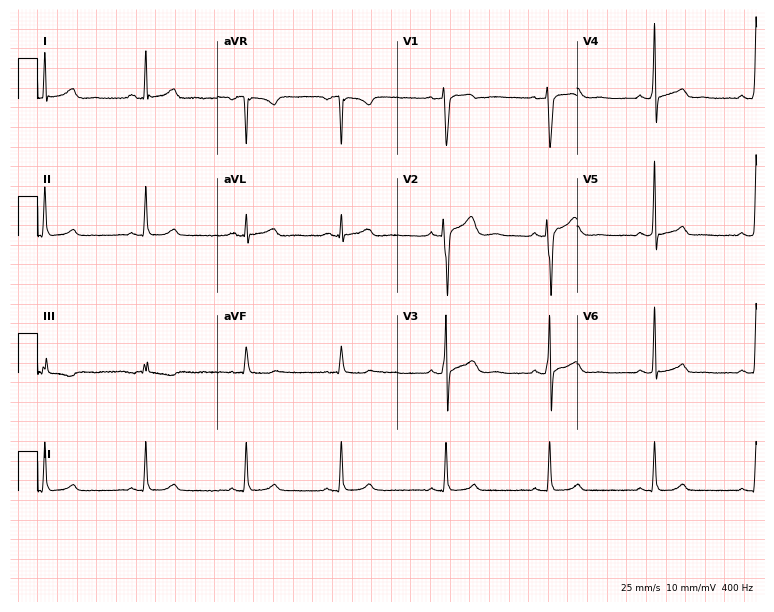
ECG (7.3-second recording at 400 Hz) — a 28-year-old male. Labelled as a normal ECG.